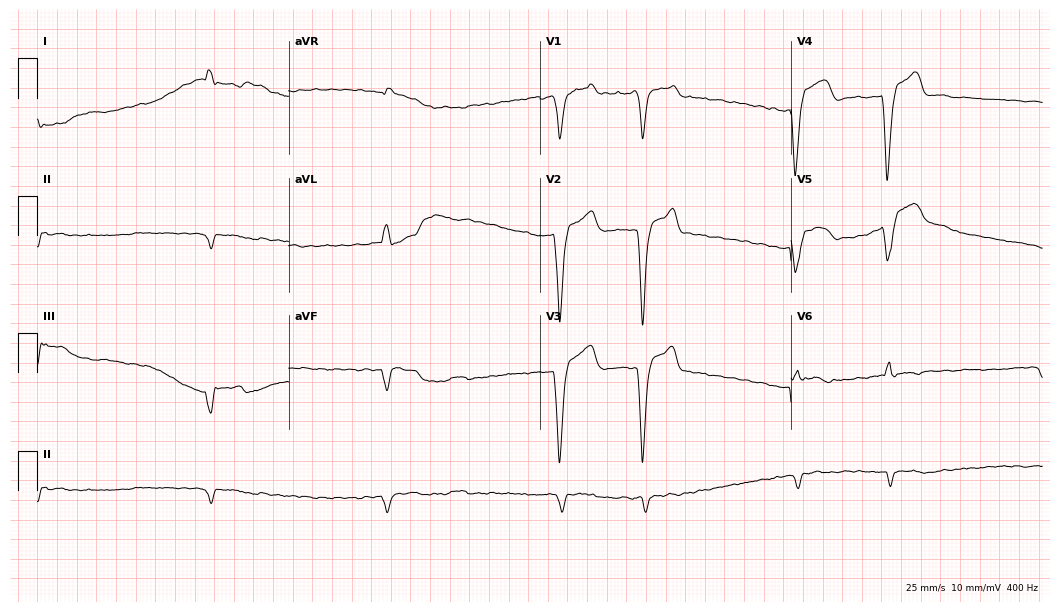
Standard 12-lead ECG recorded from a female, 60 years old (10.2-second recording at 400 Hz). The tracing shows left bundle branch block (LBBB), atrial fibrillation (AF).